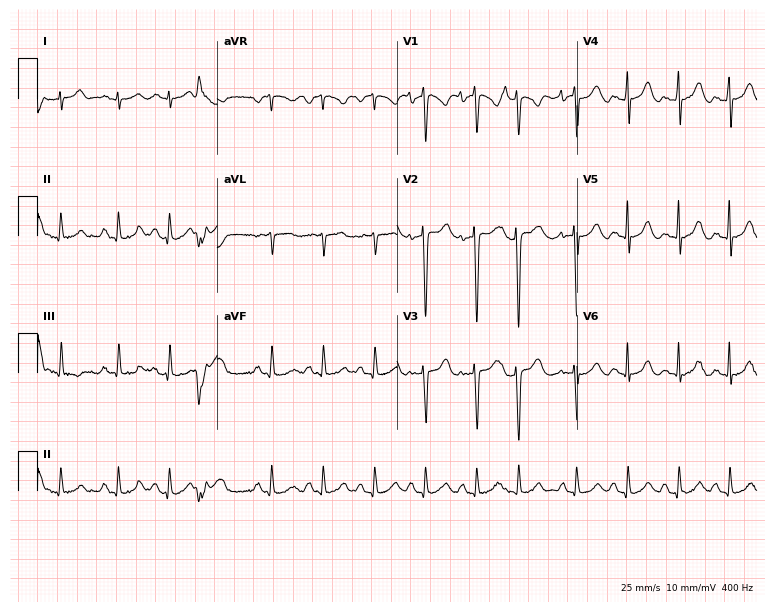
ECG — a 59-year-old male. Findings include sinus tachycardia (a sinus rate of 100 beats per minute or more).